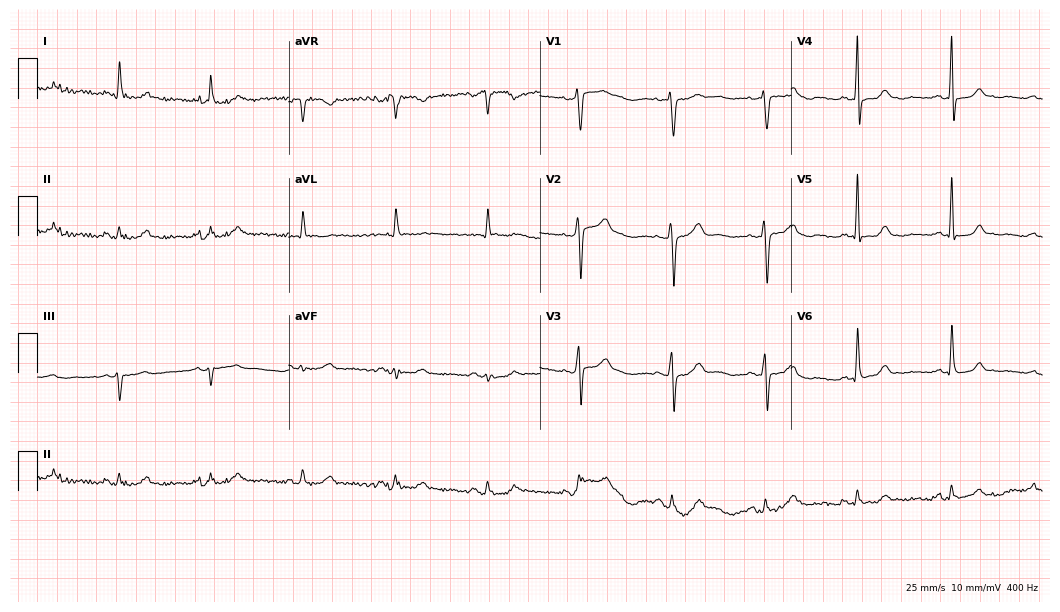
12-lead ECG from a man, 78 years old. Screened for six findings — first-degree AV block, right bundle branch block, left bundle branch block, sinus bradycardia, atrial fibrillation, sinus tachycardia — none is recorded.